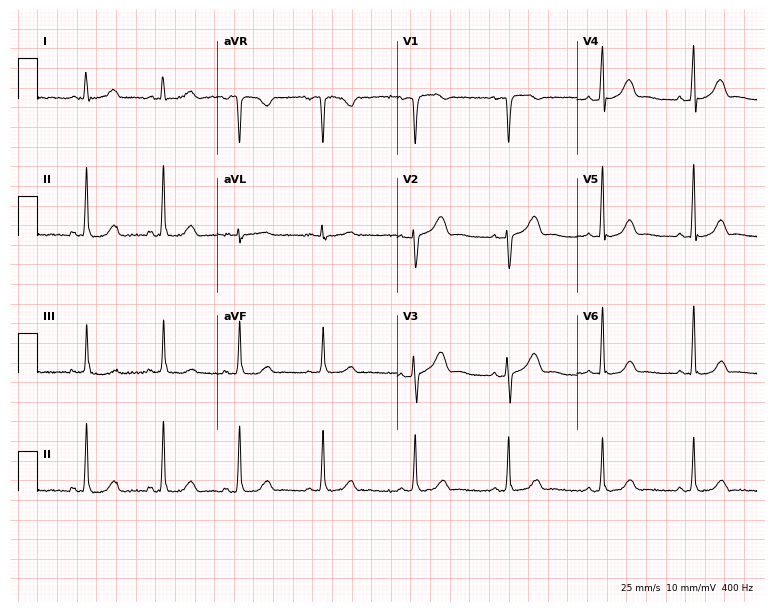
Resting 12-lead electrocardiogram. Patient: a 25-year-old female. Read as a normal ECG.